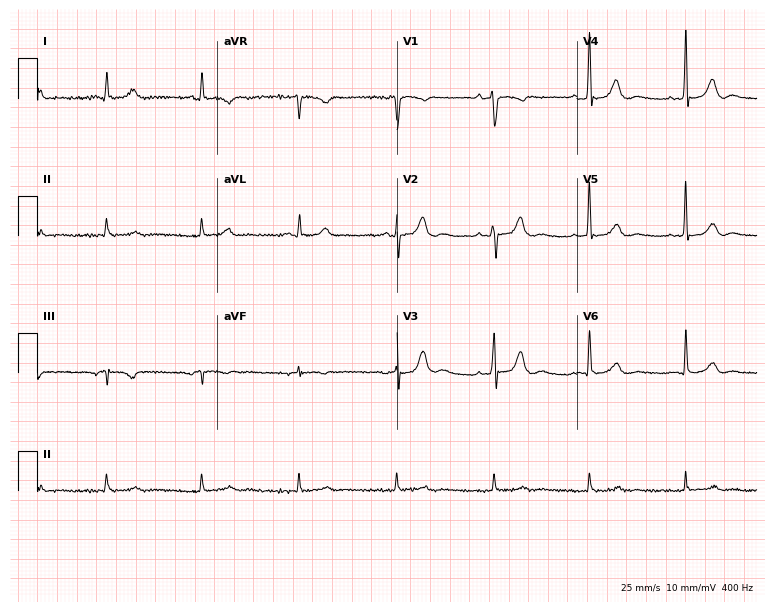
Resting 12-lead electrocardiogram (7.3-second recording at 400 Hz). Patient: an 81-year-old male. Read as a normal ECG.